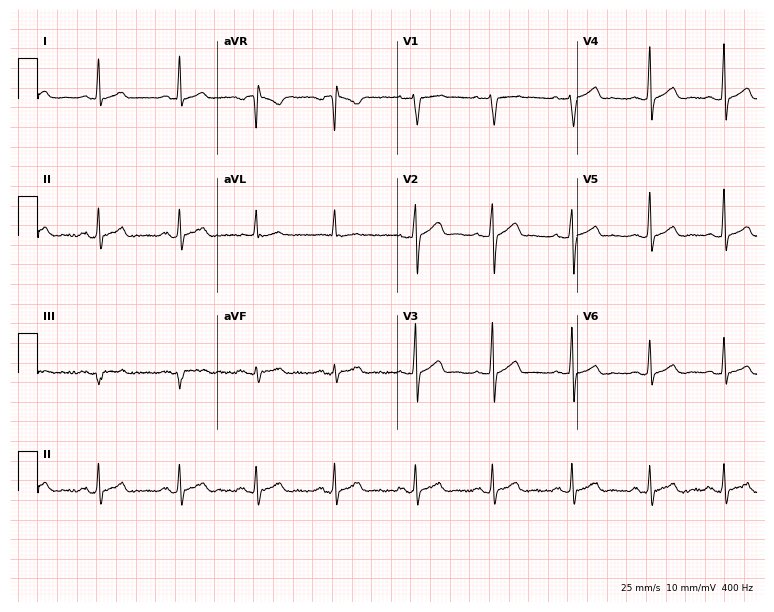
12-lead ECG from a man, 26 years old (7.3-second recording at 400 Hz). No first-degree AV block, right bundle branch block (RBBB), left bundle branch block (LBBB), sinus bradycardia, atrial fibrillation (AF) or sinus tachycardia recorded for this tracing. Findings outside these six are not listed.